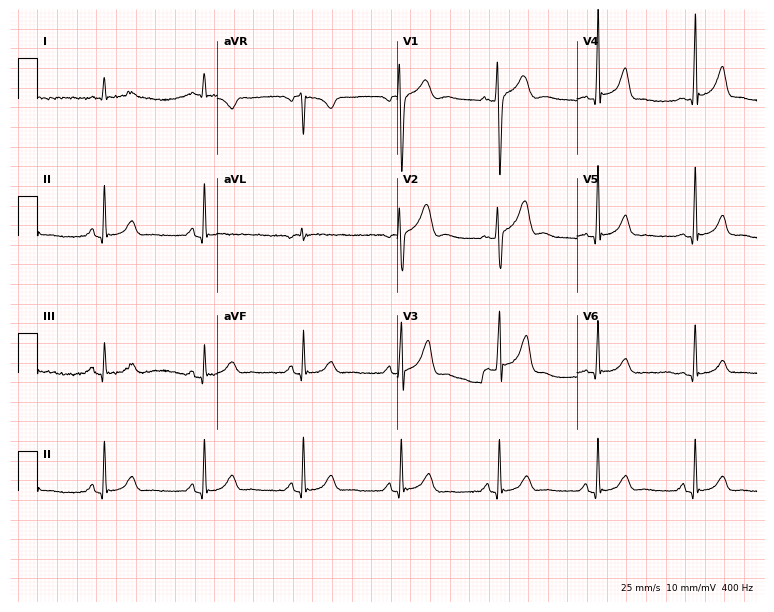
Electrocardiogram, a man, 45 years old. Of the six screened findings (first-degree AV block, right bundle branch block, left bundle branch block, sinus bradycardia, atrial fibrillation, sinus tachycardia), none is recorded.